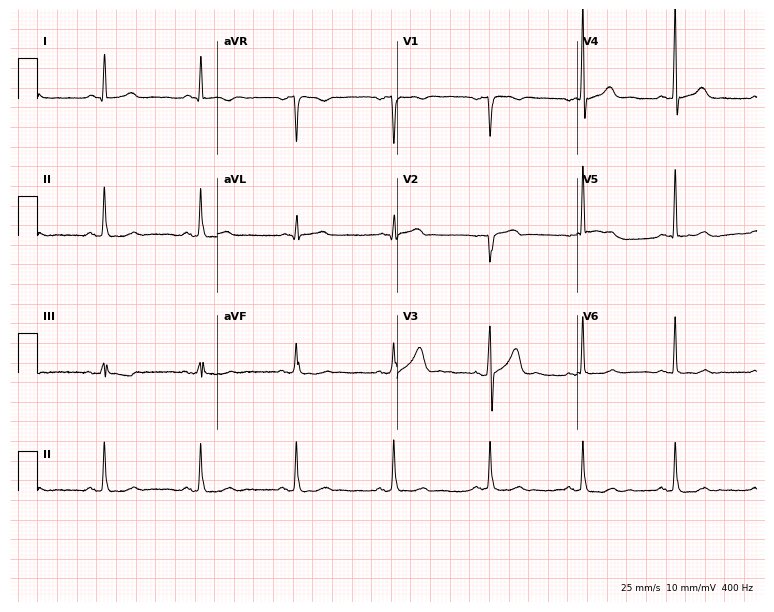
12-lead ECG from a 57-year-old male. Screened for six findings — first-degree AV block, right bundle branch block, left bundle branch block, sinus bradycardia, atrial fibrillation, sinus tachycardia — none is recorded. Other findings, if any, are not listed.